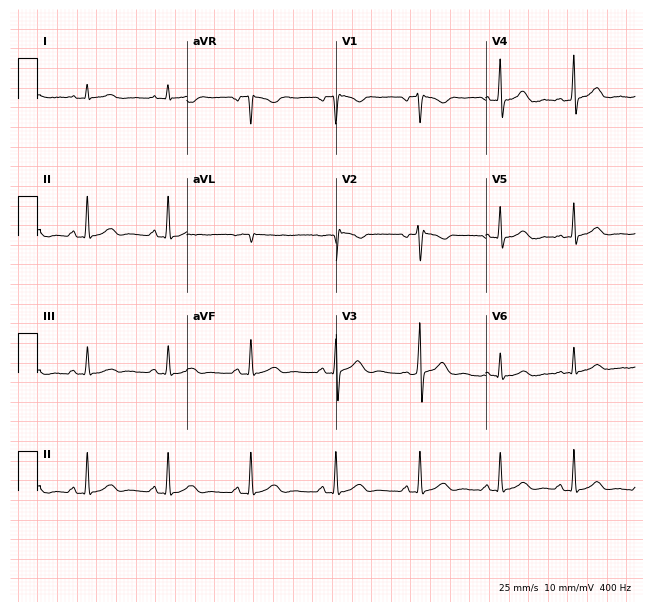
Standard 12-lead ECG recorded from a woman, 20 years old (6.1-second recording at 400 Hz). None of these six findings is recorded: first-degree AV block, right bundle branch block, left bundle branch block, sinus bradycardia, atrial fibrillation, sinus tachycardia. Findings outside these six are not listed.